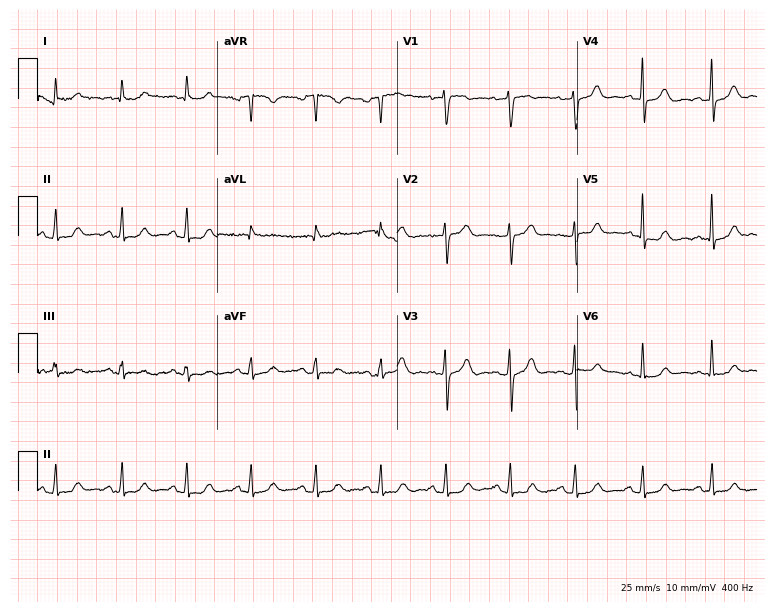
Electrocardiogram, a male, 84 years old. Of the six screened findings (first-degree AV block, right bundle branch block, left bundle branch block, sinus bradycardia, atrial fibrillation, sinus tachycardia), none is recorded.